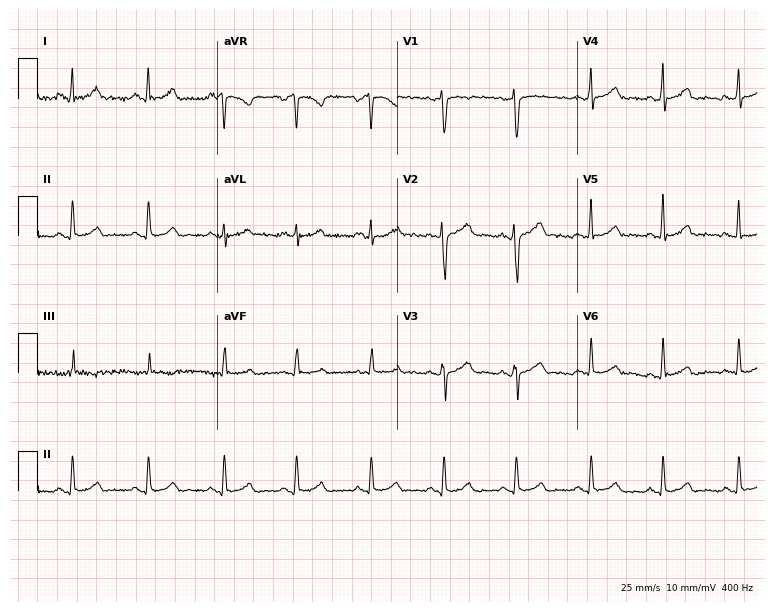
ECG (7.3-second recording at 400 Hz) — a 27-year-old woman. Labelled as a normal ECG.